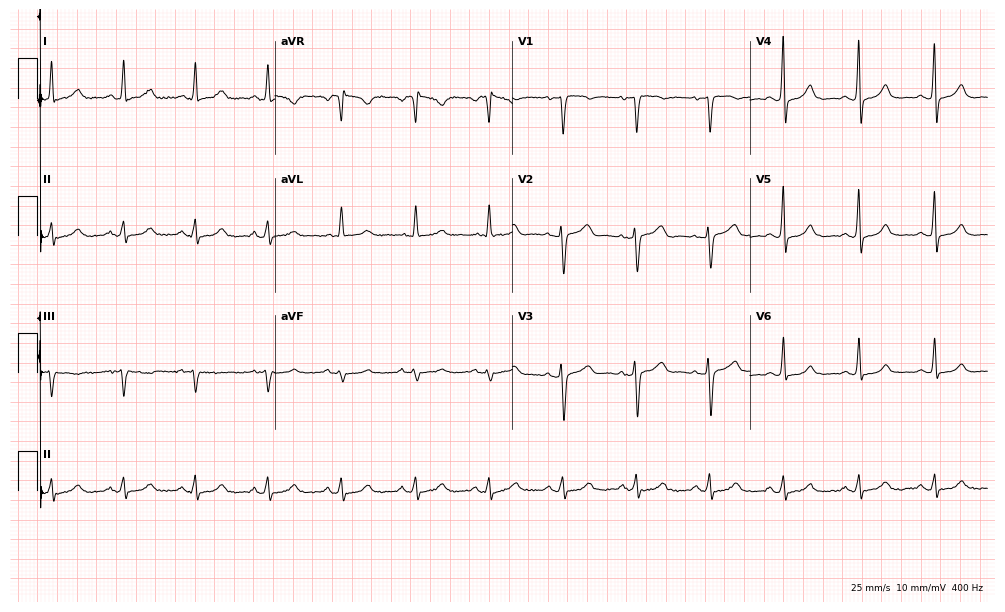
Electrocardiogram (9.7-second recording at 400 Hz), a 67-year-old woman. Overall reading on record: normal ECG.